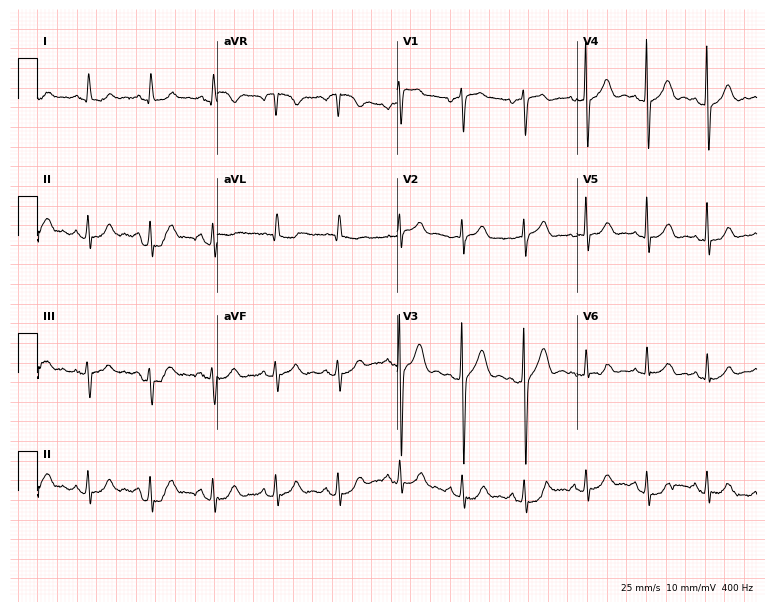
12-lead ECG from a male, 56 years old. Recorded interpretation: within normal limits.